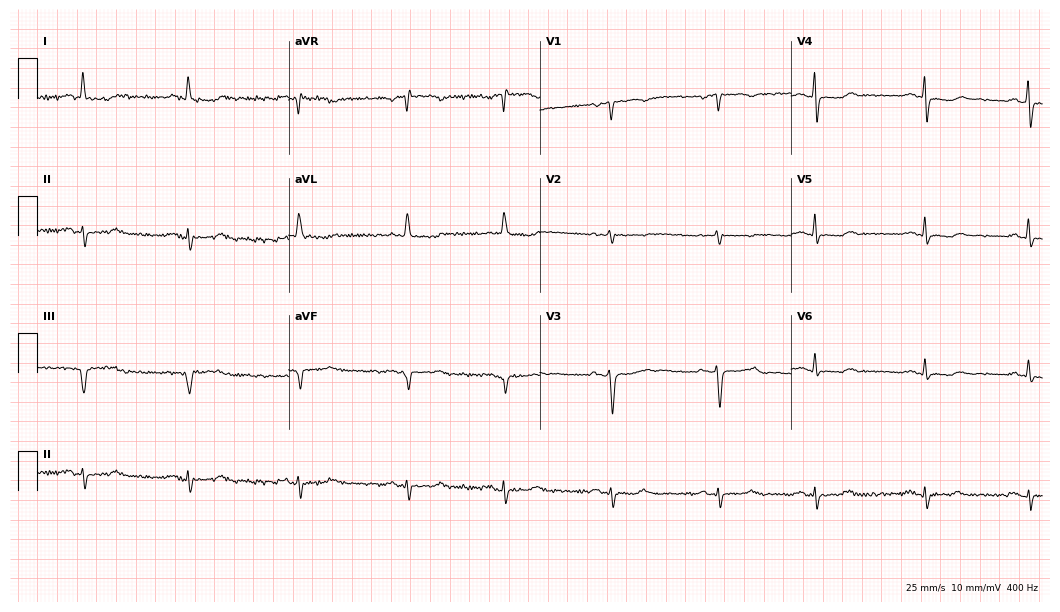
Resting 12-lead electrocardiogram. Patient: a 46-year-old female. None of these six findings is recorded: first-degree AV block, right bundle branch block, left bundle branch block, sinus bradycardia, atrial fibrillation, sinus tachycardia.